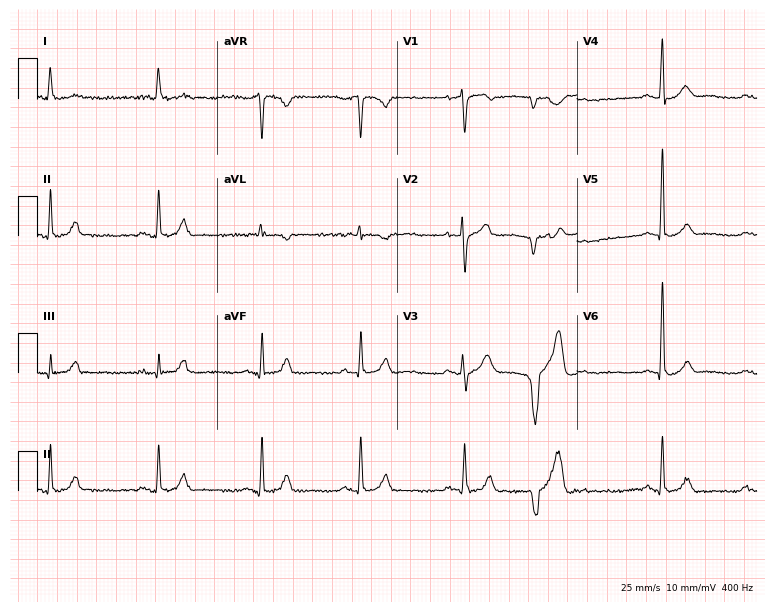
Resting 12-lead electrocardiogram (7.3-second recording at 400 Hz). Patient: a female, 69 years old. None of these six findings is recorded: first-degree AV block, right bundle branch block (RBBB), left bundle branch block (LBBB), sinus bradycardia, atrial fibrillation (AF), sinus tachycardia. Findings outside these six are not listed.